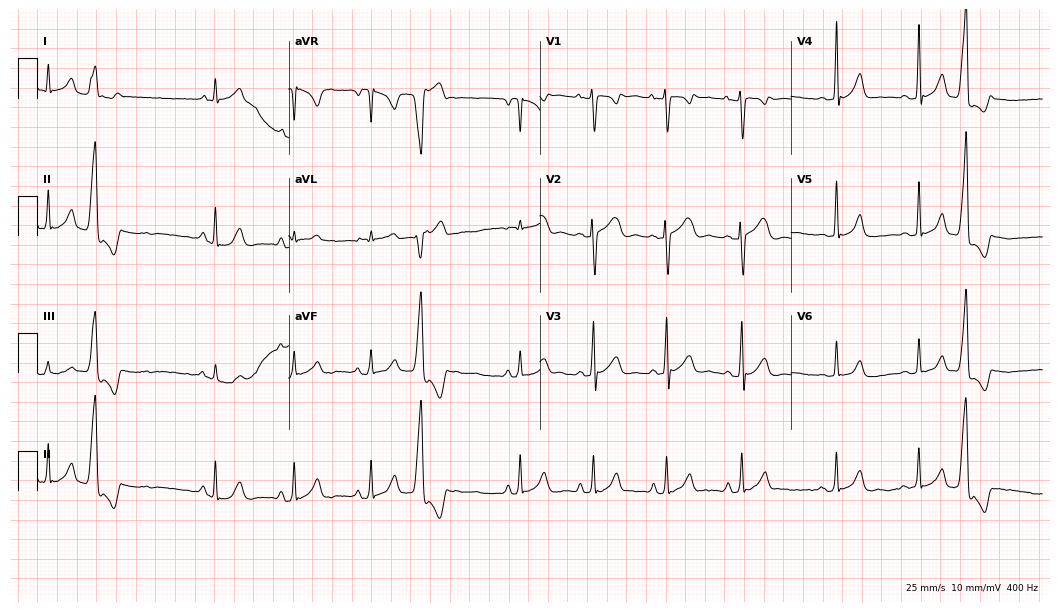
12-lead ECG (10.2-second recording at 400 Hz) from a man, 32 years old. Screened for six findings — first-degree AV block, right bundle branch block (RBBB), left bundle branch block (LBBB), sinus bradycardia, atrial fibrillation (AF), sinus tachycardia — none is recorded.